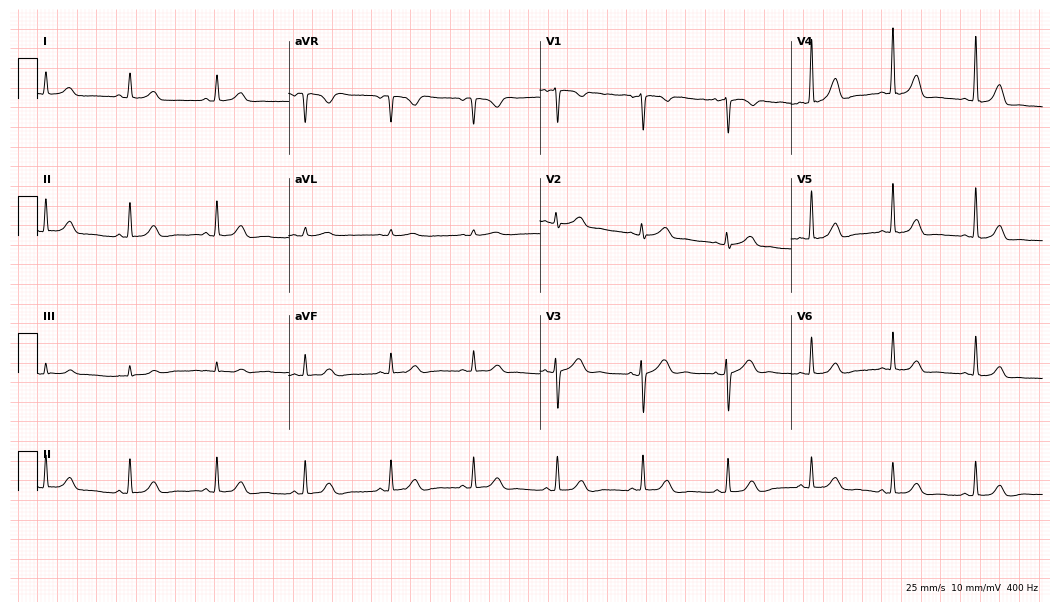
Electrocardiogram (10.2-second recording at 400 Hz), a woman, 46 years old. Of the six screened findings (first-degree AV block, right bundle branch block (RBBB), left bundle branch block (LBBB), sinus bradycardia, atrial fibrillation (AF), sinus tachycardia), none is recorded.